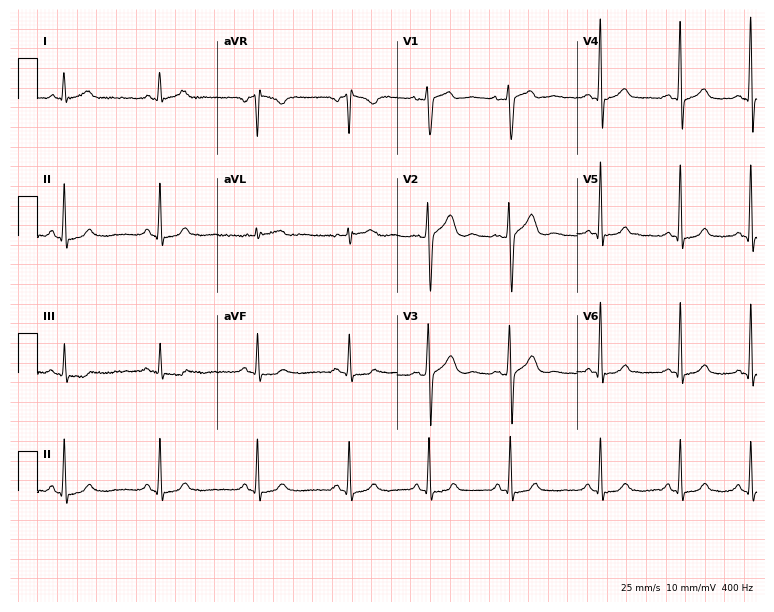
12-lead ECG (7.3-second recording at 400 Hz) from a 25-year-old male patient. Labelled as a normal ECG.